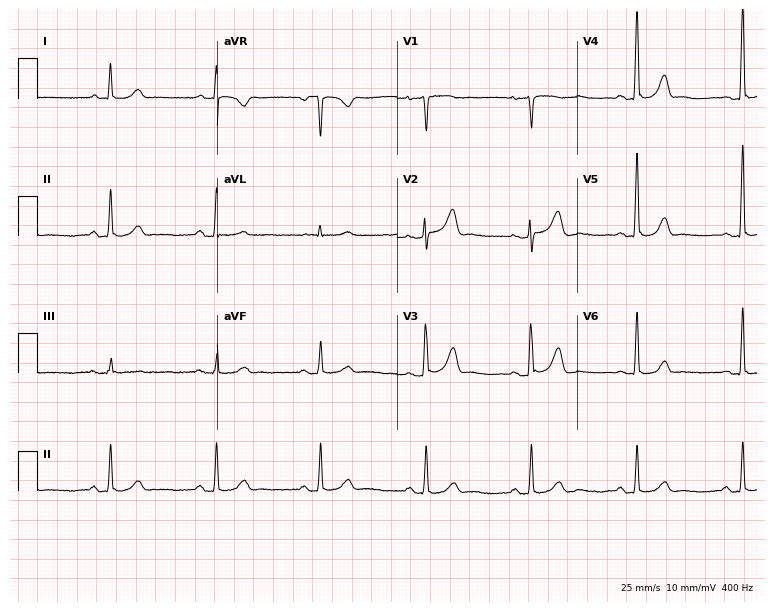
ECG — a female, 53 years old. Labelled as a normal ECG.